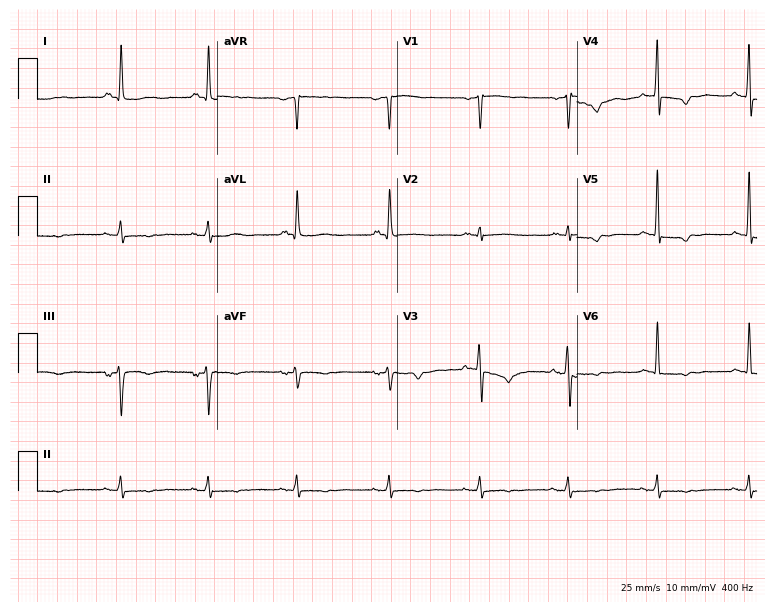
12-lead ECG from a male, 82 years old. Screened for six findings — first-degree AV block, right bundle branch block, left bundle branch block, sinus bradycardia, atrial fibrillation, sinus tachycardia — none is recorded.